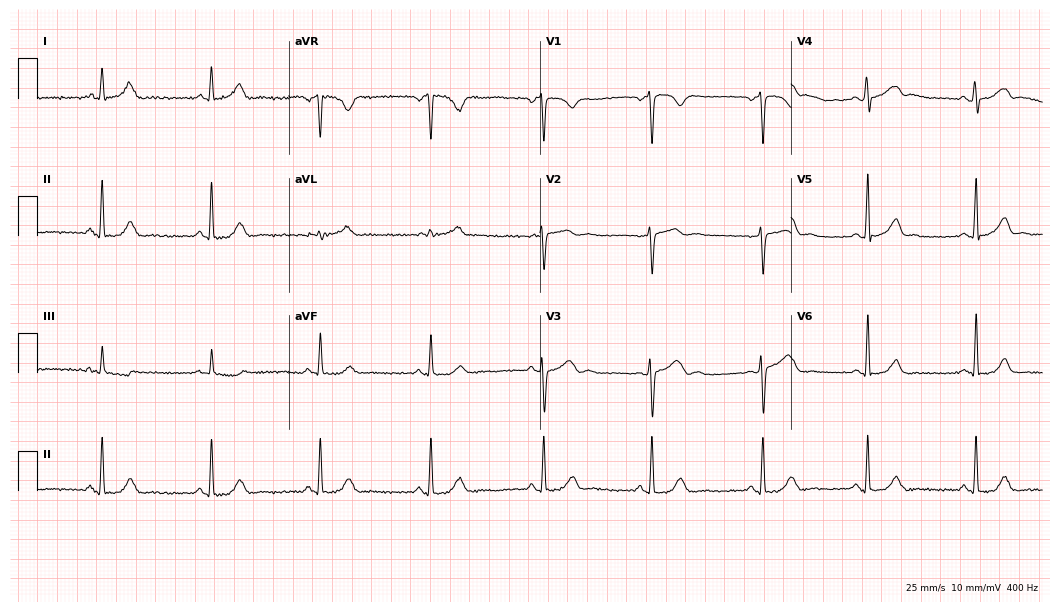
Electrocardiogram, a female patient, 22 years old. Overall reading on record: normal ECG.